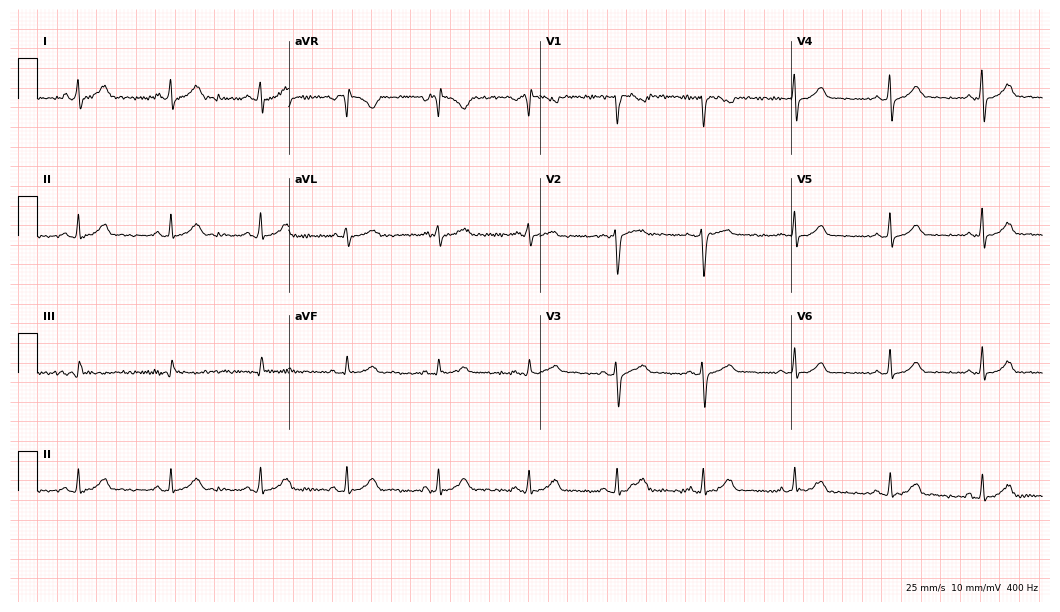
ECG (10.2-second recording at 400 Hz) — a 28-year-old female patient. Labelled as a normal ECG.